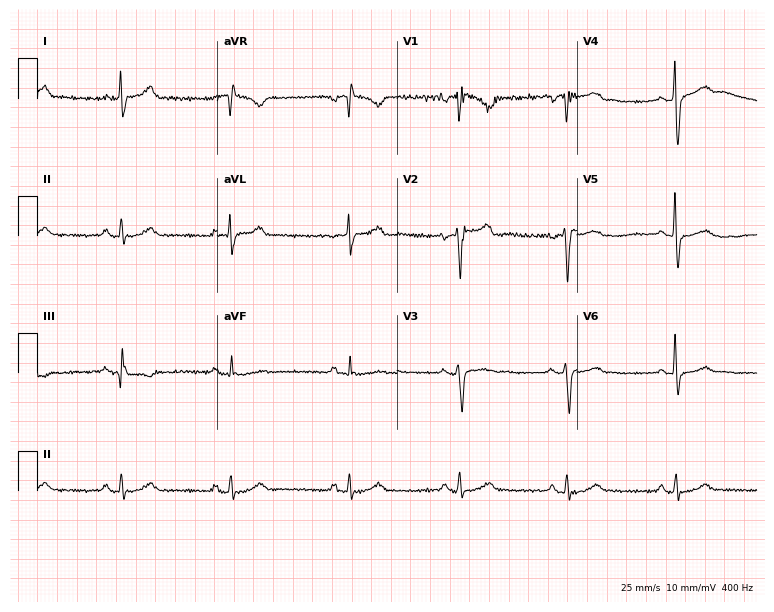
Resting 12-lead electrocardiogram (7.3-second recording at 400 Hz). Patient: a male, 43 years old. None of these six findings is recorded: first-degree AV block, right bundle branch block, left bundle branch block, sinus bradycardia, atrial fibrillation, sinus tachycardia.